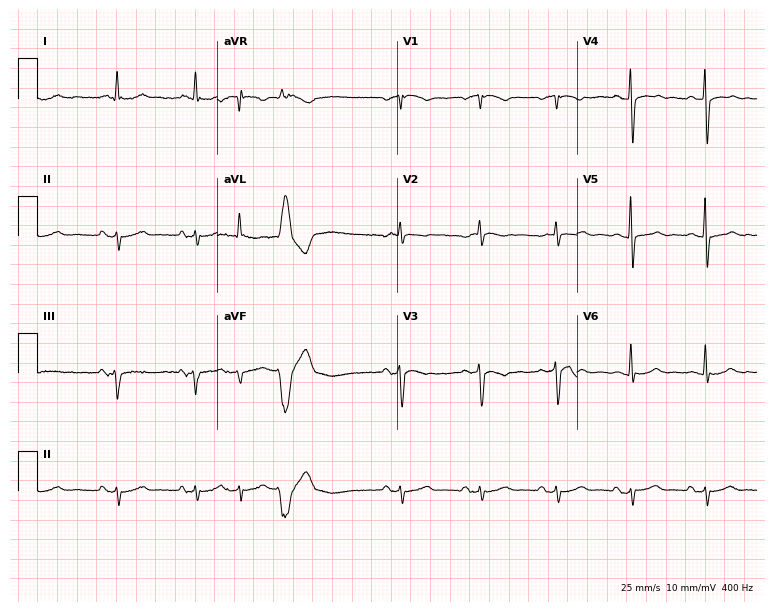
ECG (7.3-second recording at 400 Hz) — a male patient, 79 years old. Screened for six findings — first-degree AV block, right bundle branch block (RBBB), left bundle branch block (LBBB), sinus bradycardia, atrial fibrillation (AF), sinus tachycardia — none is recorded. Other findings, if any, are not listed.